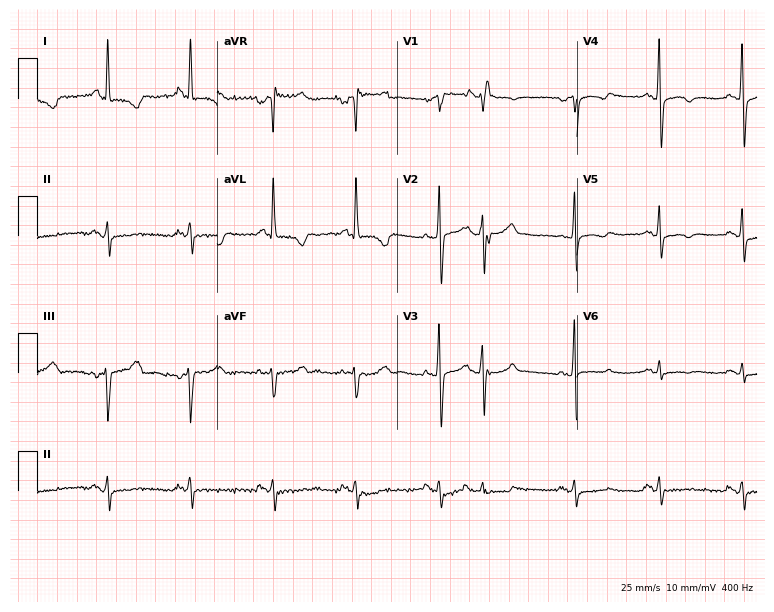
Standard 12-lead ECG recorded from a female patient, 58 years old (7.3-second recording at 400 Hz). None of these six findings is recorded: first-degree AV block, right bundle branch block (RBBB), left bundle branch block (LBBB), sinus bradycardia, atrial fibrillation (AF), sinus tachycardia.